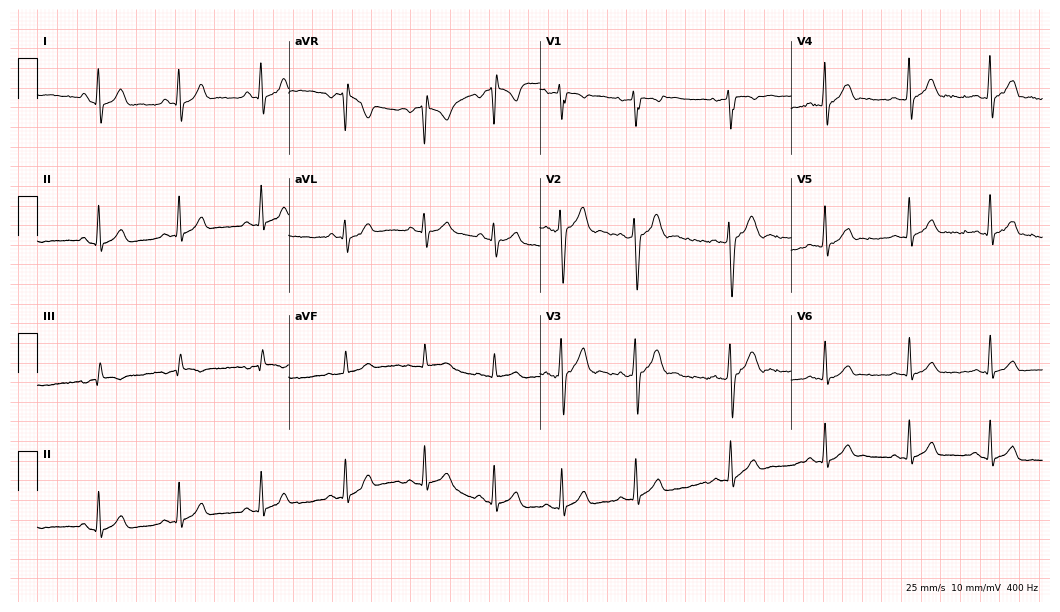
Standard 12-lead ECG recorded from an 18-year-old male. Read as a normal ECG.